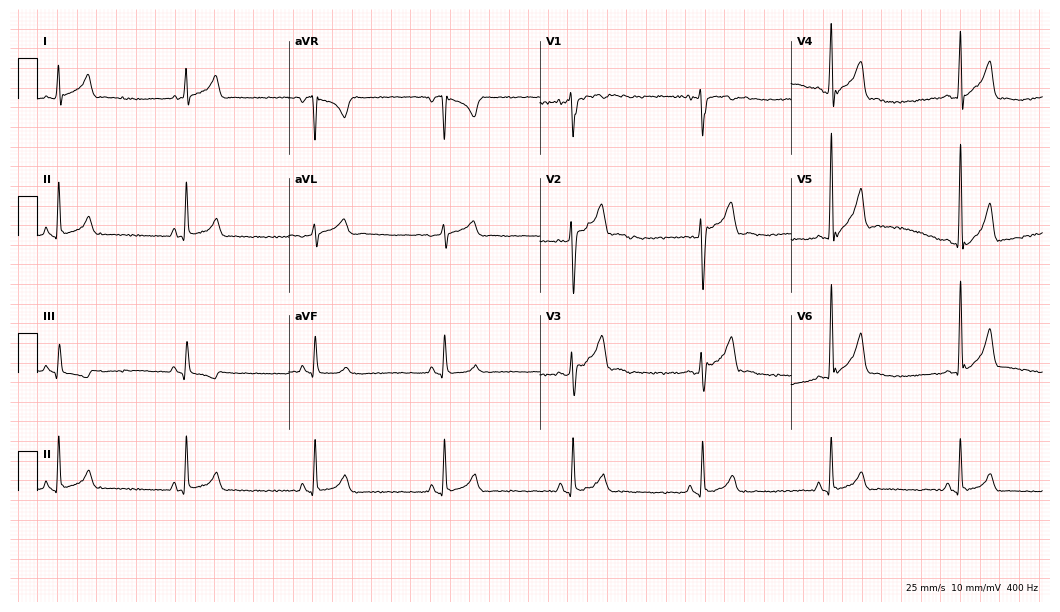
Resting 12-lead electrocardiogram (10.2-second recording at 400 Hz). Patient: a 21-year-old male. None of these six findings is recorded: first-degree AV block, right bundle branch block, left bundle branch block, sinus bradycardia, atrial fibrillation, sinus tachycardia.